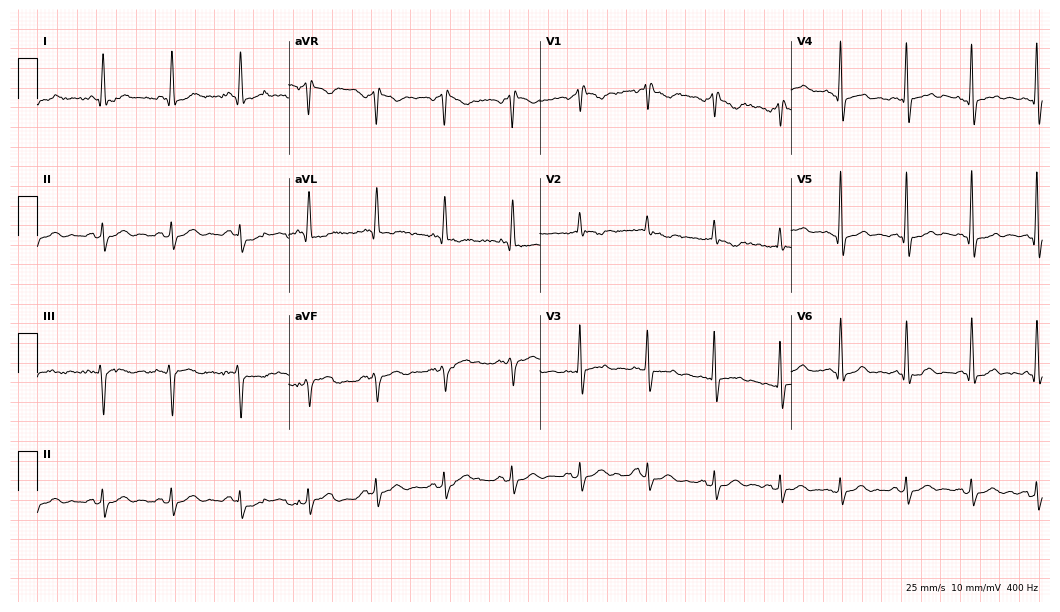
Resting 12-lead electrocardiogram. Patient: a 66-year-old male. None of these six findings is recorded: first-degree AV block, right bundle branch block, left bundle branch block, sinus bradycardia, atrial fibrillation, sinus tachycardia. Other findings, if any, are not listed.